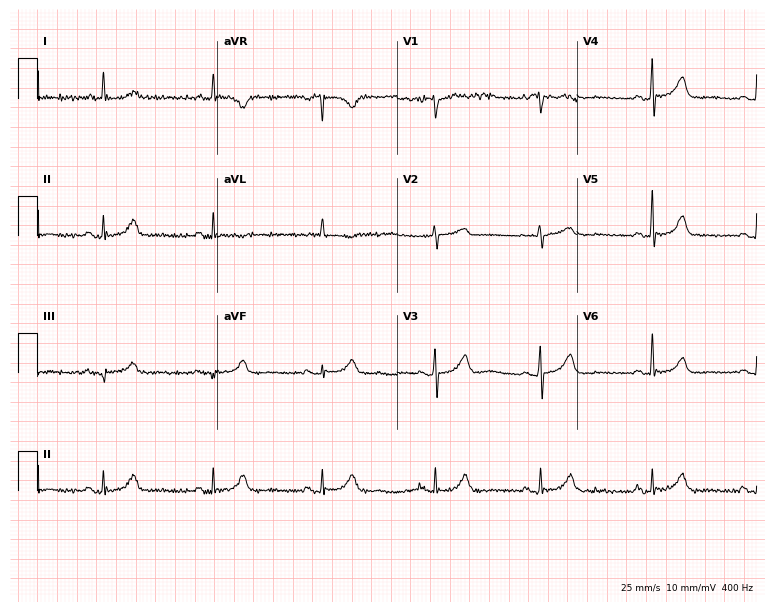
Resting 12-lead electrocardiogram (7.3-second recording at 400 Hz). Patient: an 81-year-old female. Read as a normal ECG.